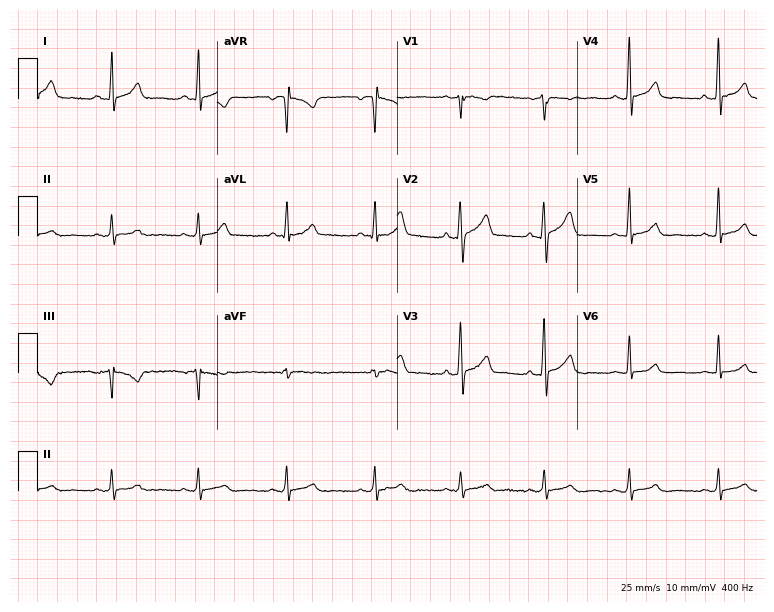
ECG — a 44-year-old man. Labelled as a normal ECG.